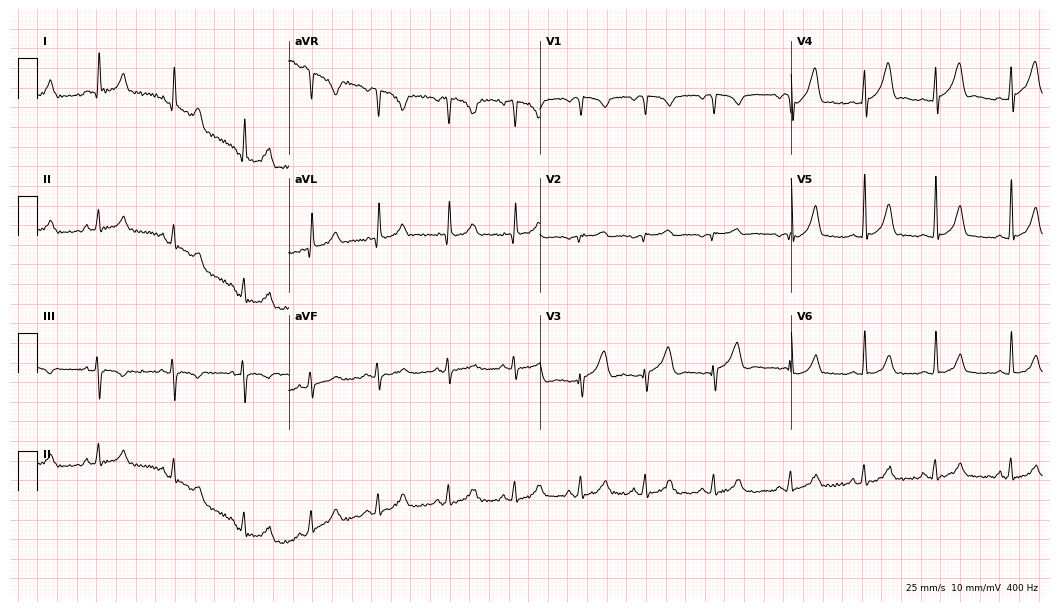
Standard 12-lead ECG recorded from a man, 25 years old (10.2-second recording at 400 Hz). Read as a normal ECG.